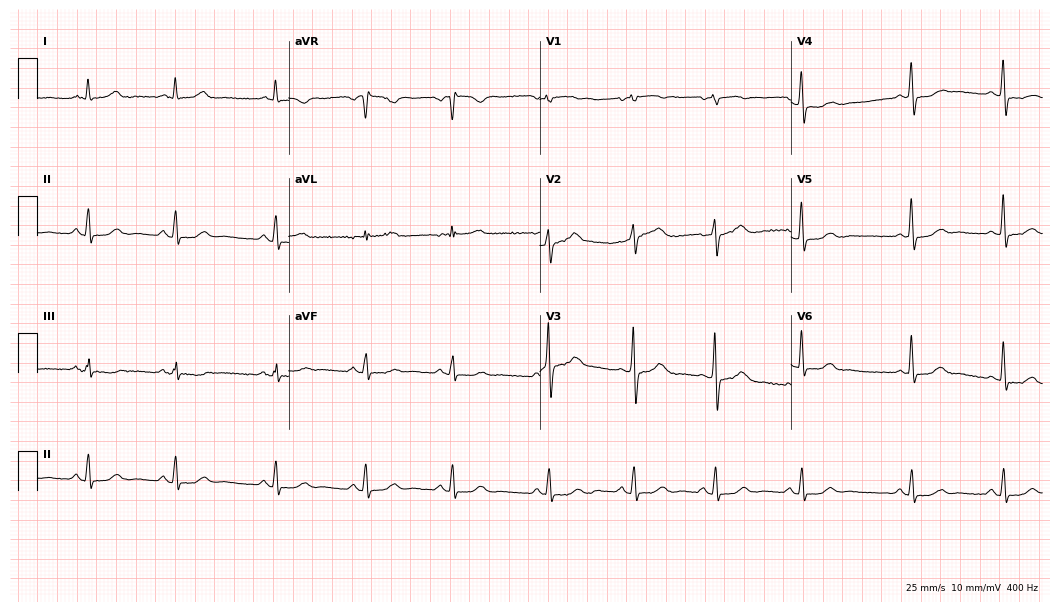
ECG — a 66-year-old woman. Labelled as a normal ECG.